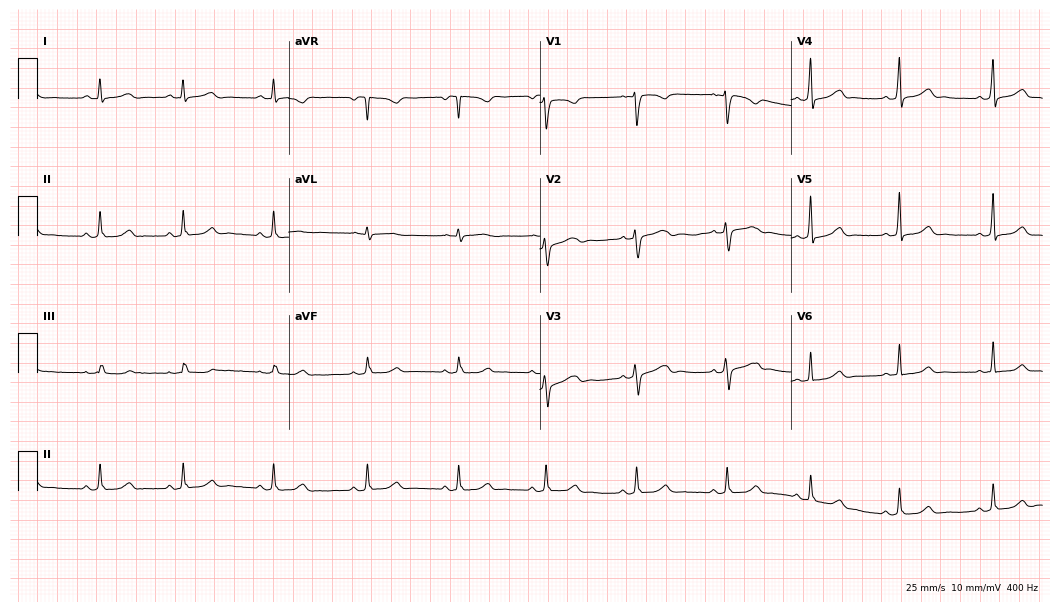
12-lead ECG (10.2-second recording at 400 Hz) from a female patient, 25 years old. Labelled as a normal ECG.